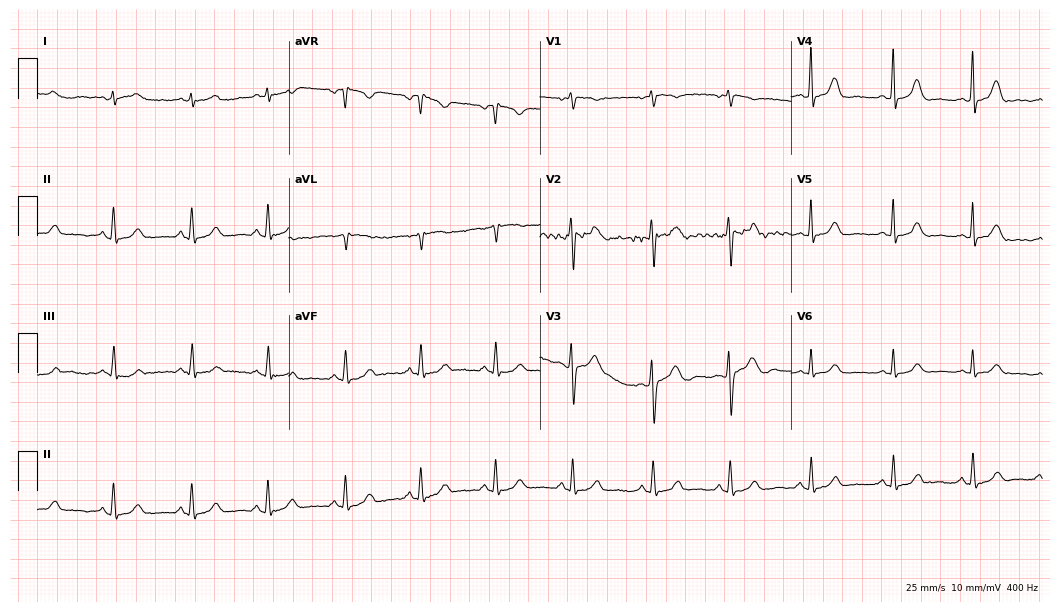
Electrocardiogram, a female patient, 27 years old. Of the six screened findings (first-degree AV block, right bundle branch block, left bundle branch block, sinus bradycardia, atrial fibrillation, sinus tachycardia), none is recorded.